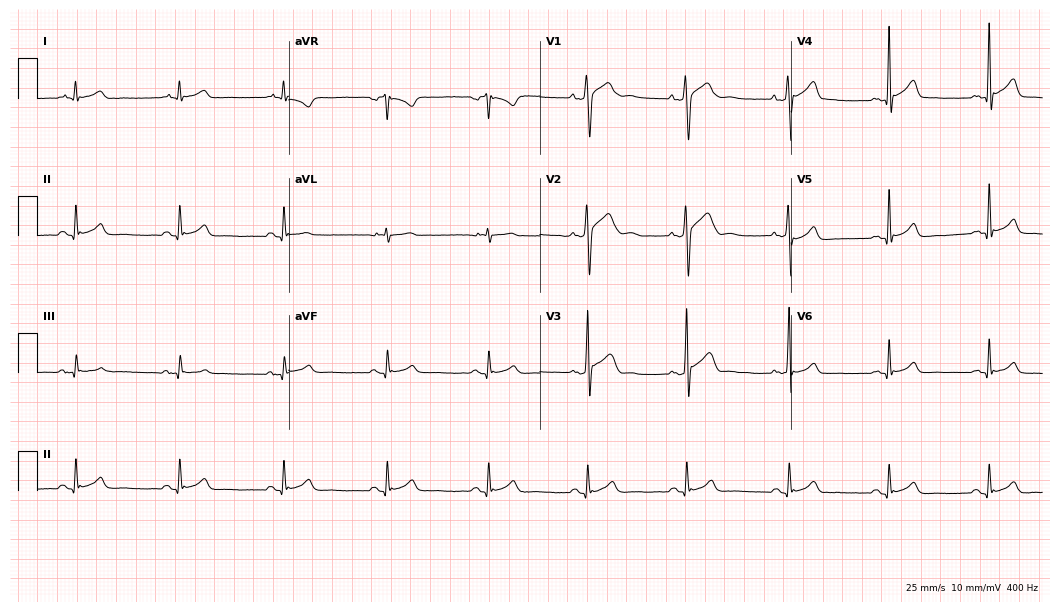
Resting 12-lead electrocardiogram. Patient: a male, 22 years old. Read as a normal ECG.